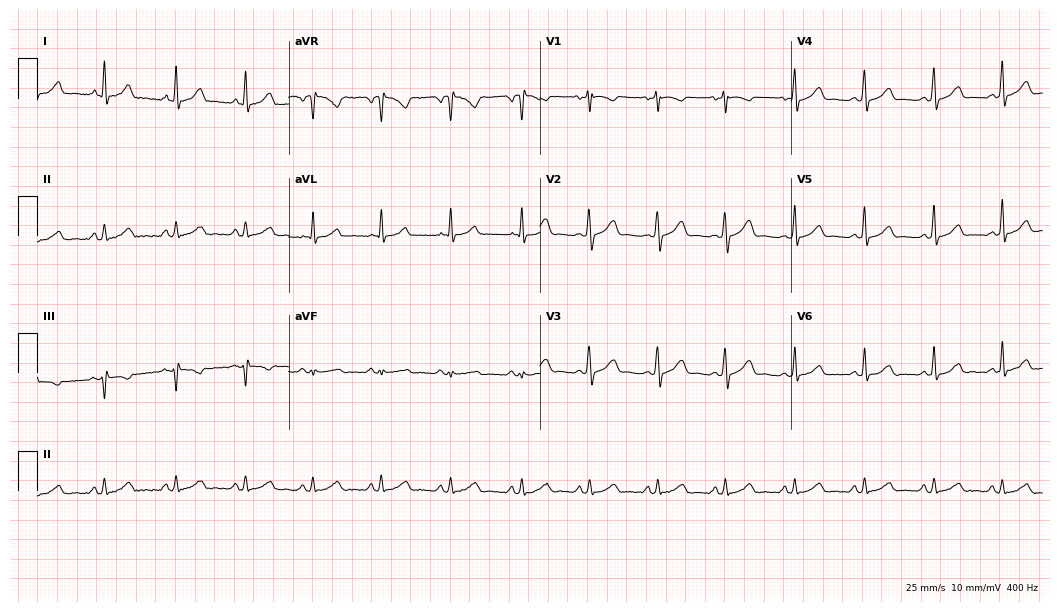
12-lead ECG from a woman, 48 years old. Recorded interpretation: within normal limits.